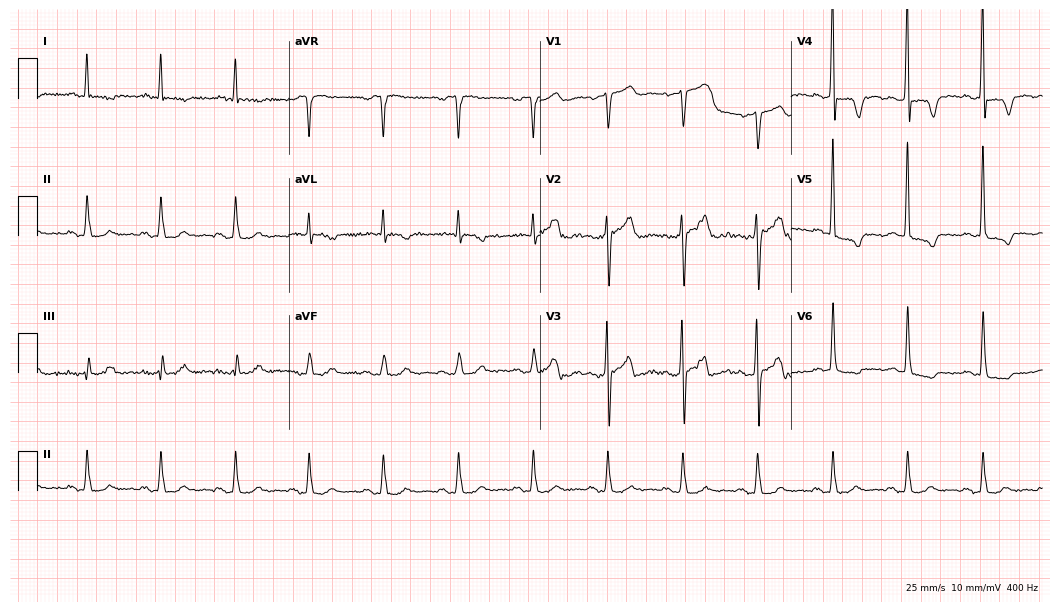
12-lead ECG from a 67-year-old male patient. Screened for six findings — first-degree AV block, right bundle branch block (RBBB), left bundle branch block (LBBB), sinus bradycardia, atrial fibrillation (AF), sinus tachycardia — none is recorded.